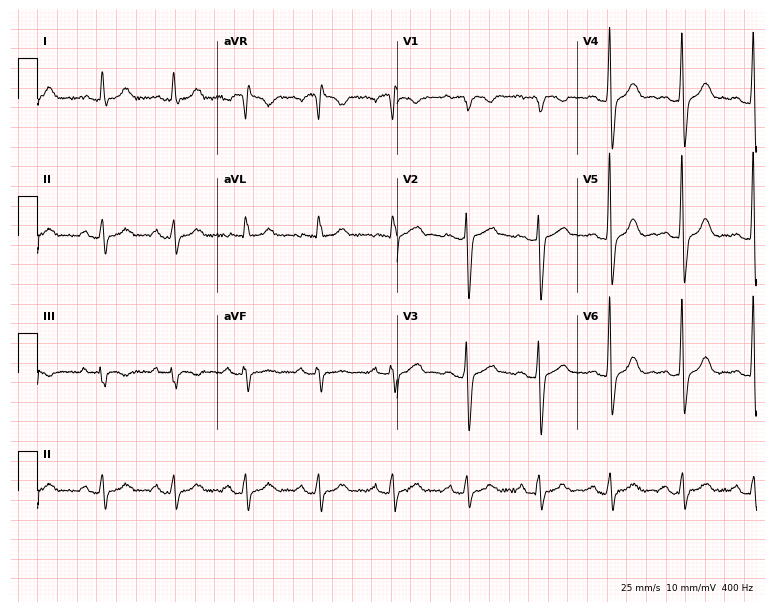
12-lead ECG from a female patient, 34 years old (7.3-second recording at 400 Hz). Recorded interpretation: within normal limits.